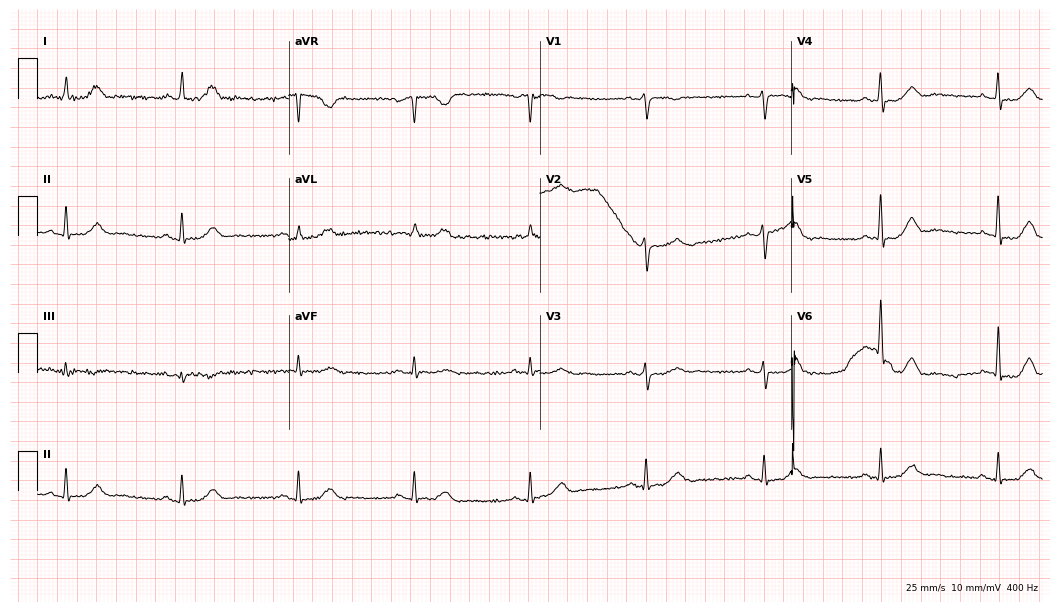
12-lead ECG (10.2-second recording at 400 Hz) from an 84-year-old female patient. Findings include sinus bradycardia (a sinus rate of 50 beats per minute or less).